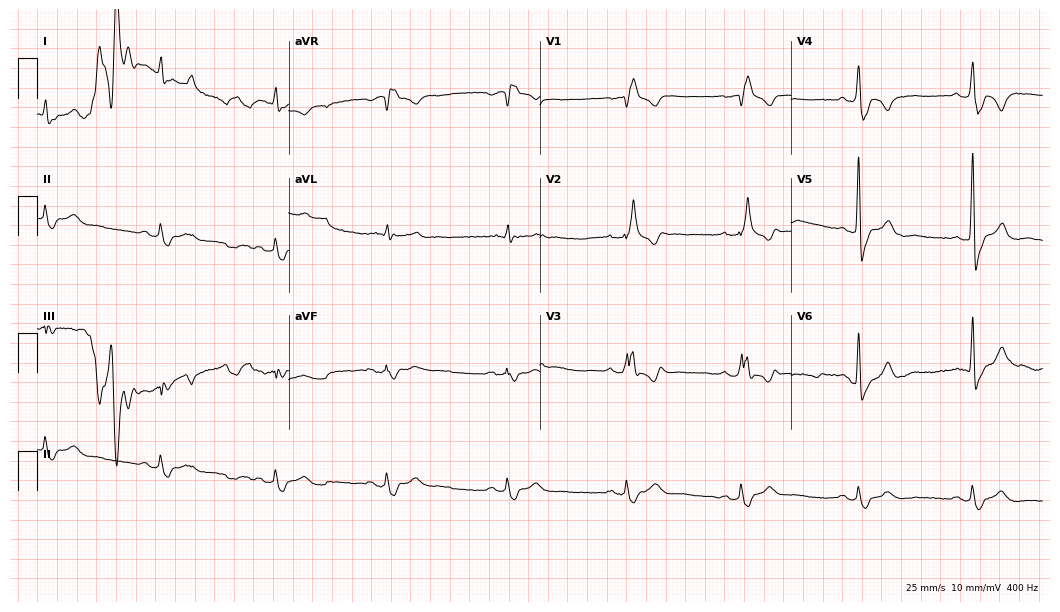
12-lead ECG from a 61-year-old male (10.2-second recording at 400 Hz). Shows right bundle branch block.